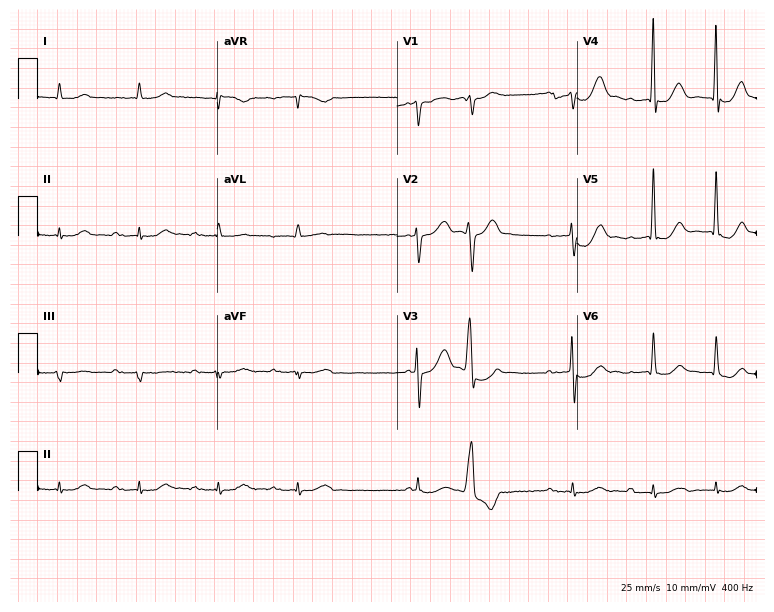
12-lead ECG from an 85-year-old male patient (7.3-second recording at 400 Hz). Shows first-degree AV block.